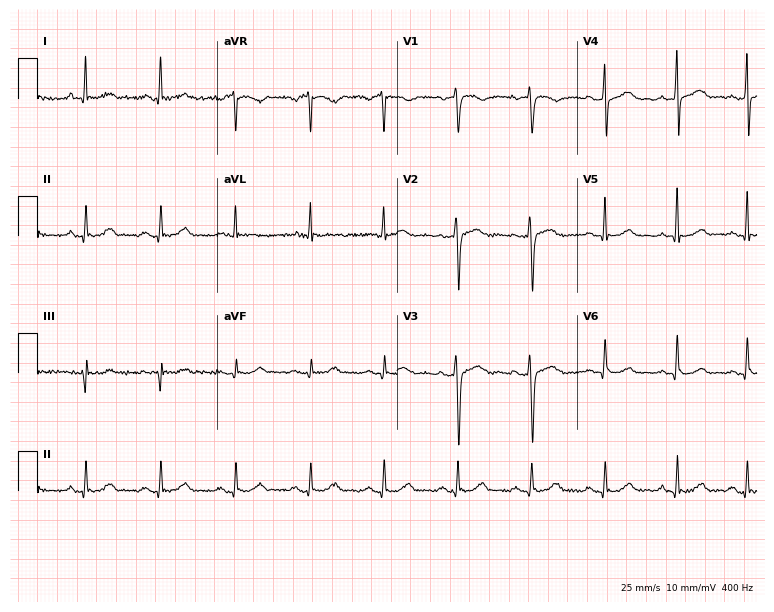
12-lead ECG from a female, 63 years old. Screened for six findings — first-degree AV block, right bundle branch block, left bundle branch block, sinus bradycardia, atrial fibrillation, sinus tachycardia — none is recorded.